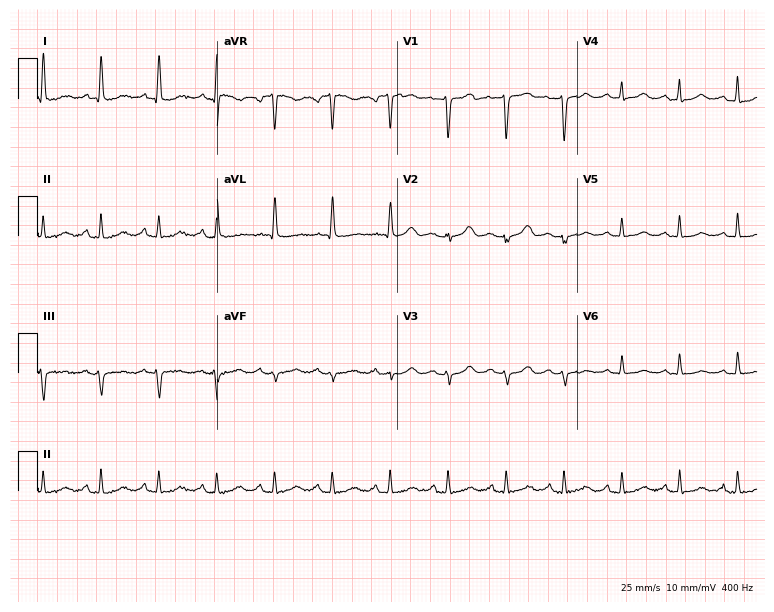
12-lead ECG from a 62-year-old female. No first-degree AV block, right bundle branch block, left bundle branch block, sinus bradycardia, atrial fibrillation or sinus tachycardia recorded for this tracing. Findings outside these six are not listed.